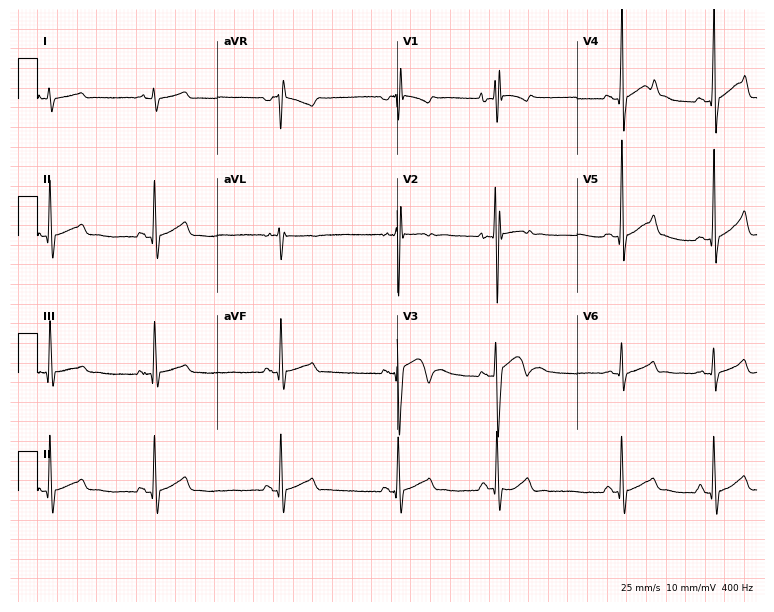
Standard 12-lead ECG recorded from a 17-year-old male. None of these six findings is recorded: first-degree AV block, right bundle branch block, left bundle branch block, sinus bradycardia, atrial fibrillation, sinus tachycardia. Other findings, if any, are not listed.